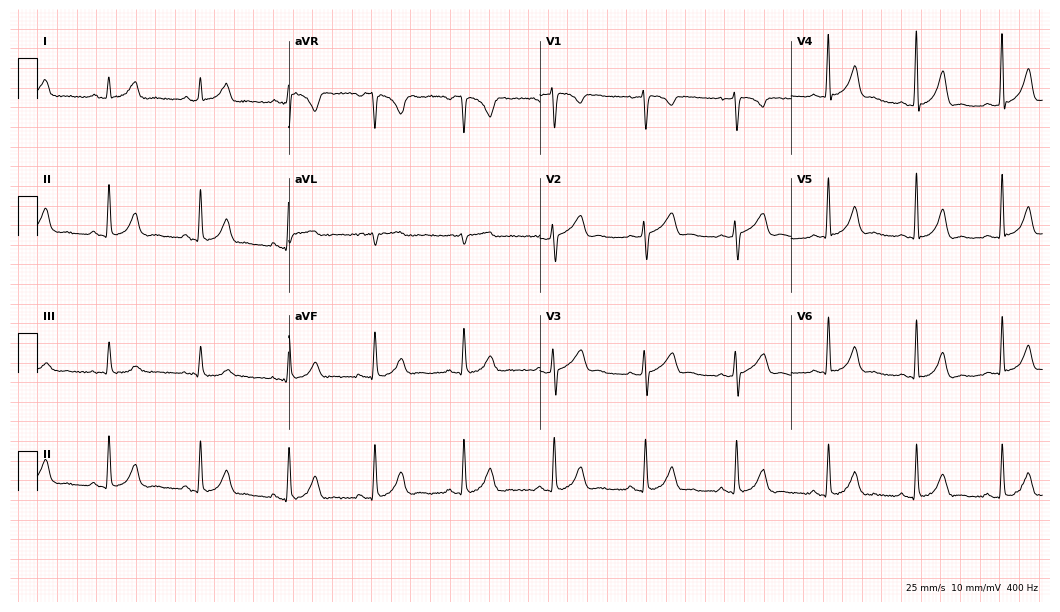
12-lead ECG from a 26-year-old female (10.2-second recording at 400 Hz). Recorded interpretation: within normal limits.